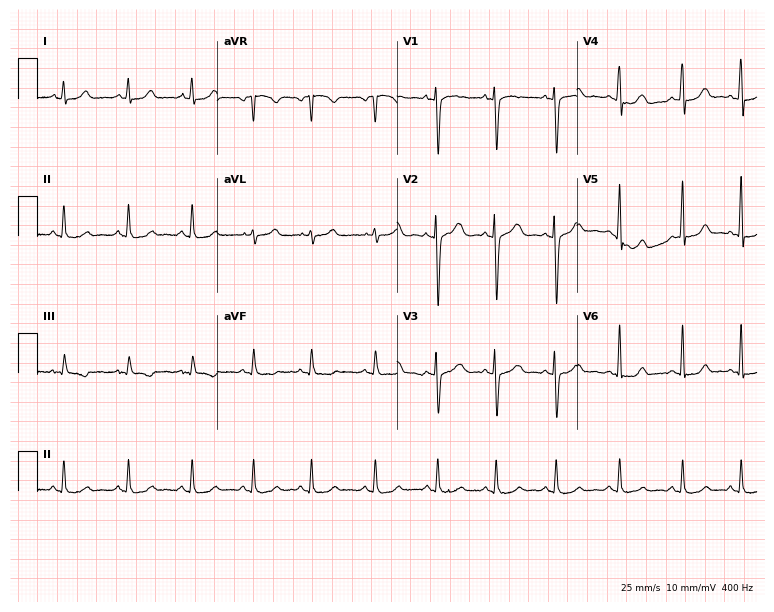
Standard 12-lead ECG recorded from a woman, 30 years old. None of these six findings is recorded: first-degree AV block, right bundle branch block (RBBB), left bundle branch block (LBBB), sinus bradycardia, atrial fibrillation (AF), sinus tachycardia.